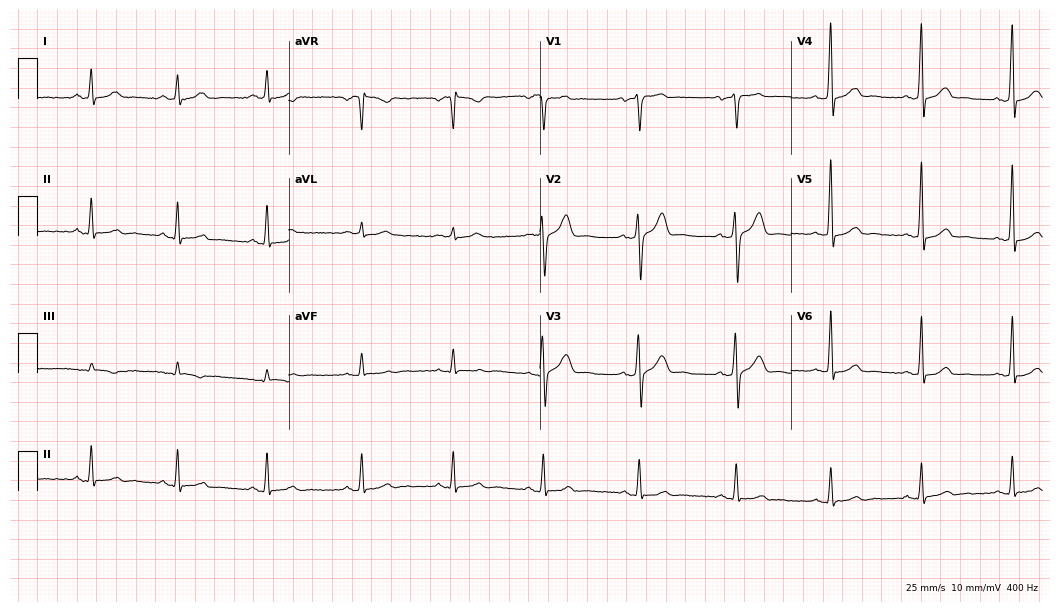
Resting 12-lead electrocardiogram. Patient: a 75-year-old female. Read as a normal ECG.